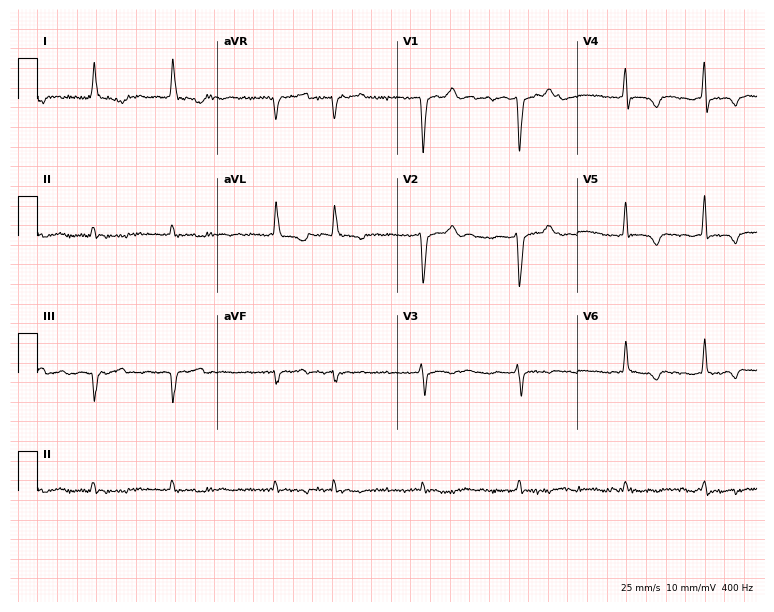
12-lead ECG from a female patient, 75 years old (7.3-second recording at 400 Hz). Shows atrial fibrillation.